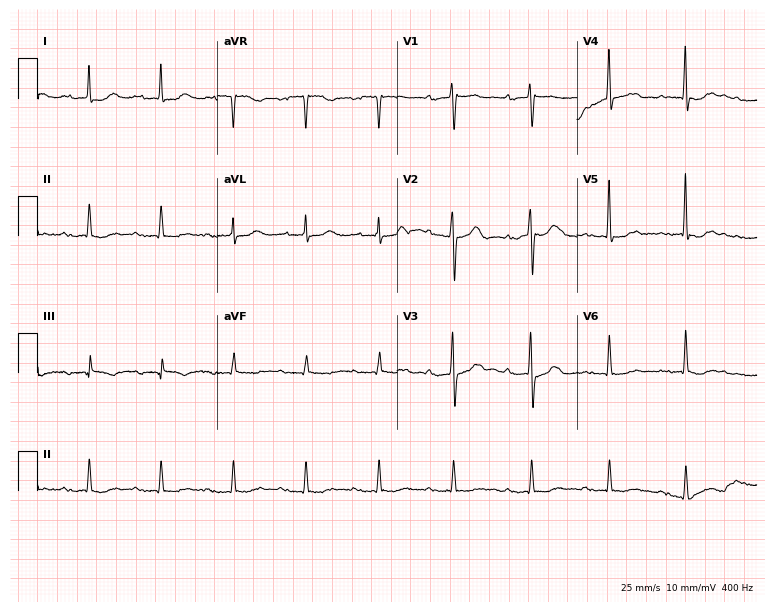
ECG — a male, 80 years old. Findings include first-degree AV block.